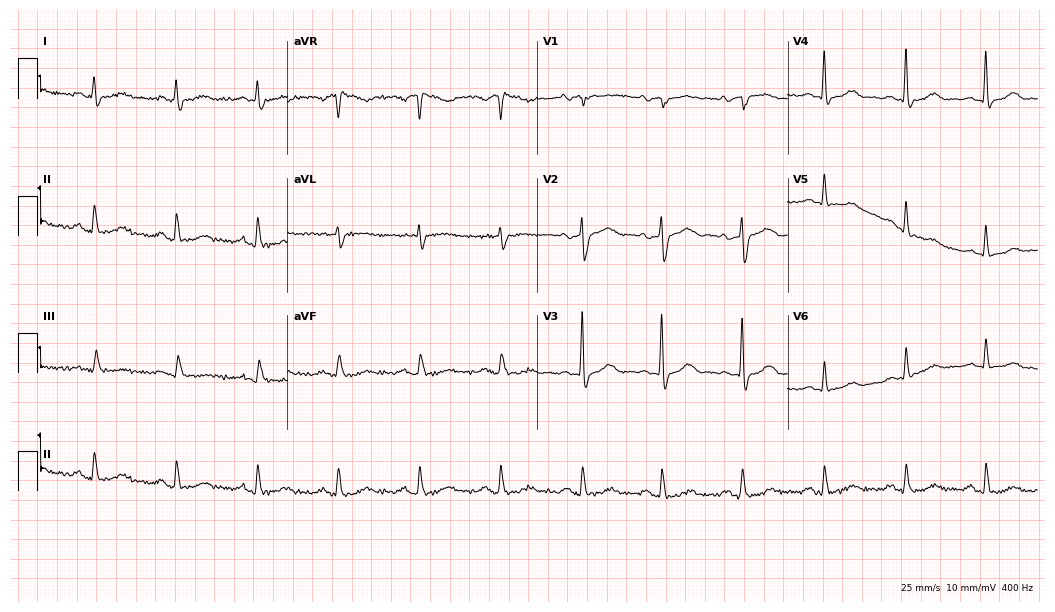
Standard 12-lead ECG recorded from an 80-year-old female patient (10.2-second recording at 400 Hz). None of these six findings is recorded: first-degree AV block, right bundle branch block, left bundle branch block, sinus bradycardia, atrial fibrillation, sinus tachycardia.